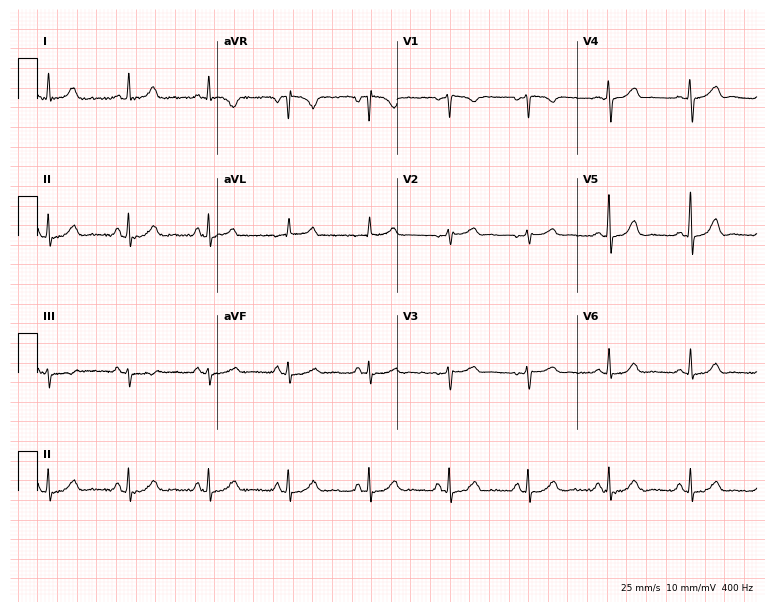
Resting 12-lead electrocardiogram (7.3-second recording at 400 Hz). Patient: a female, 44 years old. Read as a normal ECG.